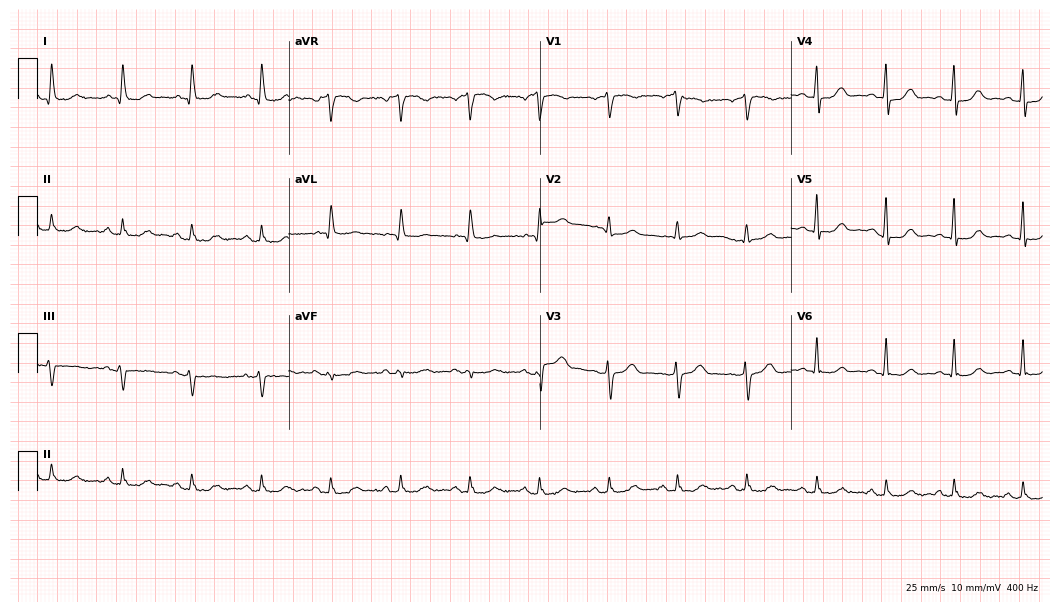
Resting 12-lead electrocardiogram. Patient: a female, 56 years old. Read as a normal ECG.